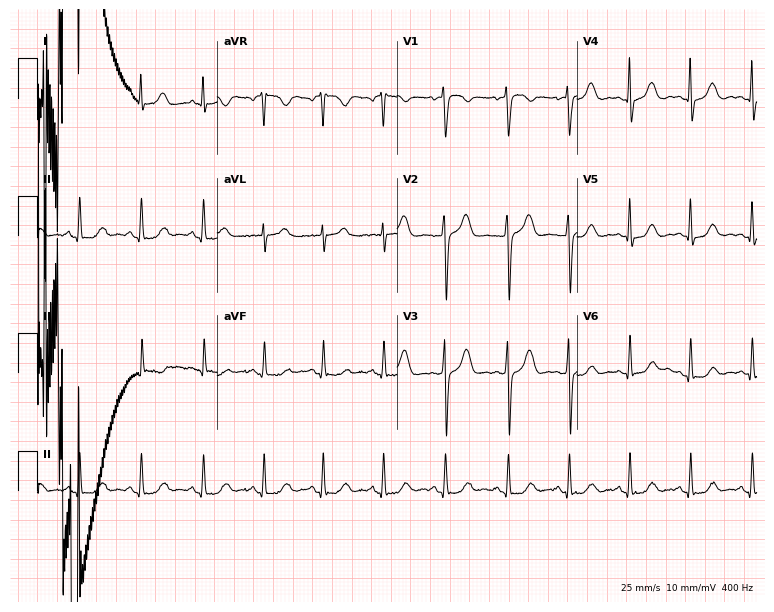
Standard 12-lead ECG recorded from a 39-year-old female (7.3-second recording at 400 Hz). None of these six findings is recorded: first-degree AV block, right bundle branch block, left bundle branch block, sinus bradycardia, atrial fibrillation, sinus tachycardia. Only these six findings were labelled.